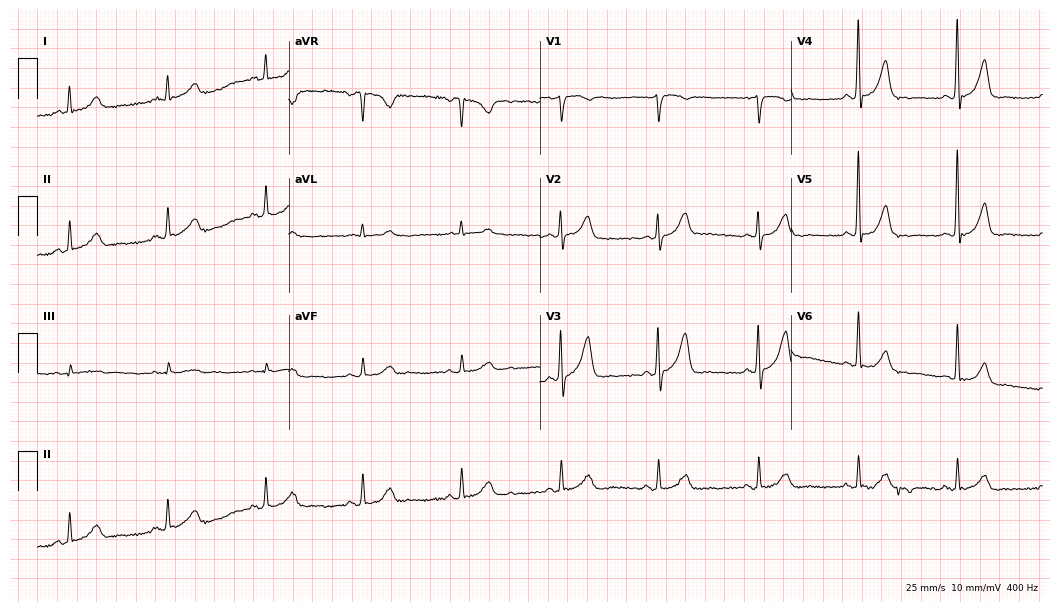
12-lead ECG (10.2-second recording at 400 Hz) from a man, 74 years old. Screened for six findings — first-degree AV block, right bundle branch block, left bundle branch block, sinus bradycardia, atrial fibrillation, sinus tachycardia — none is recorded. Only these six findings were labelled.